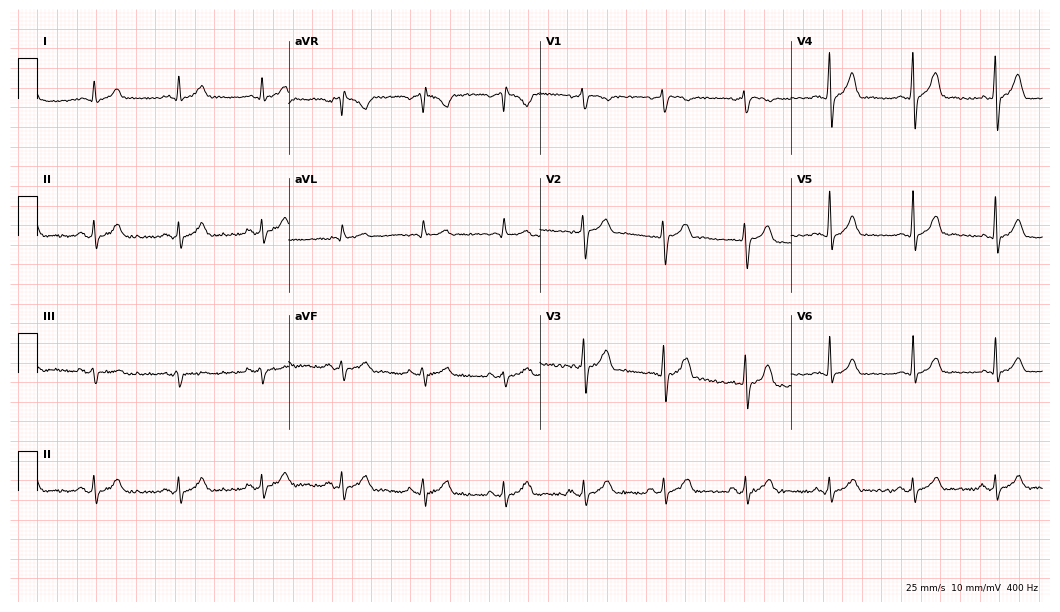
12-lead ECG from a 30-year-old man (10.2-second recording at 400 Hz). Recorded interpretation: within normal limits.